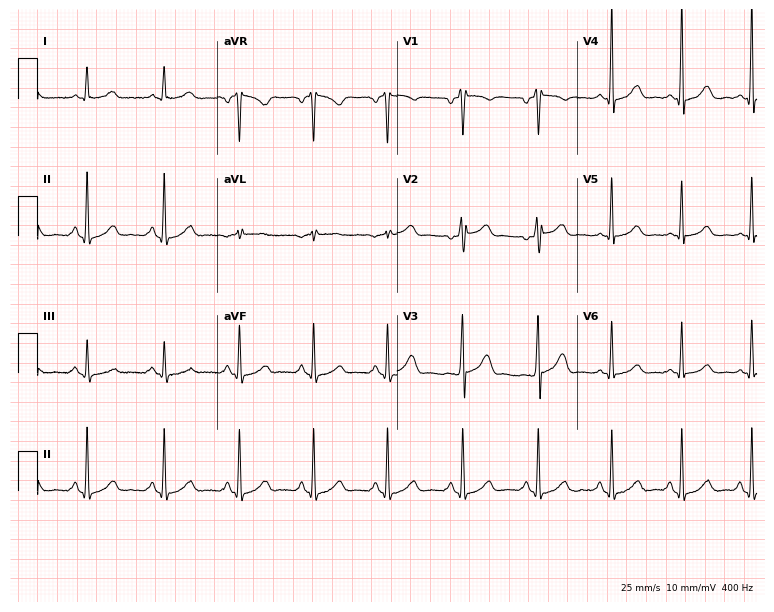
12-lead ECG from a woman, 63 years old. Screened for six findings — first-degree AV block, right bundle branch block (RBBB), left bundle branch block (LBBB), sinus bradycardia, atrial fibrillation (AF), sinus tachycardia — none is recorded. Only these six findings were labelled.